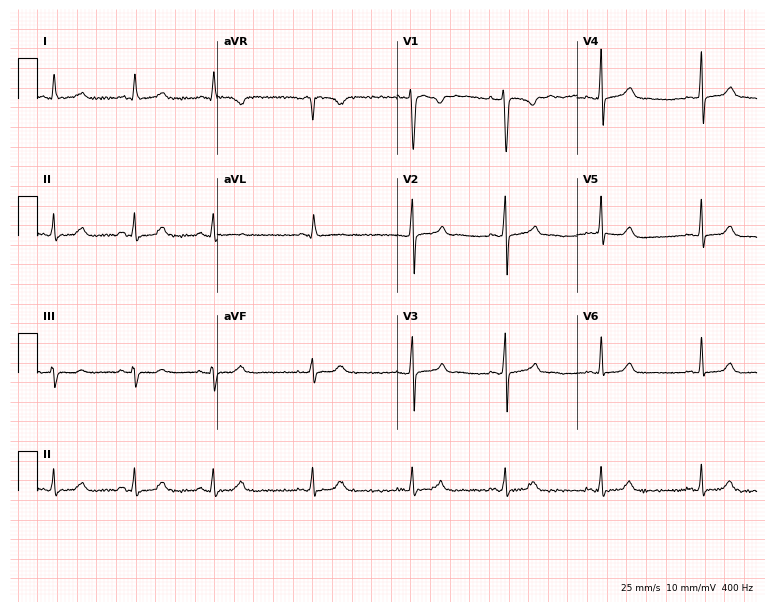
Electrocardiogram, a female patient, 32 years old. Overall reading on record: normal ECG.